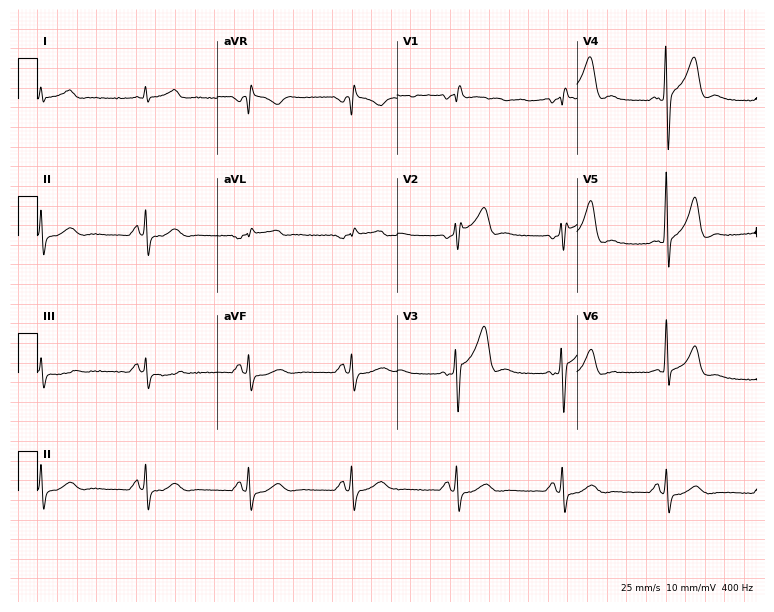
ECG (7.3-second recording at 400 Hz) — a 64-year-old man. Screened for six findings — first-degree AV block, right bundle branch block, left bundle branch block, sinus bradycardia, atrial fibrillation, sinus tachycardia — none is recorded. Only these six findings were labelled.